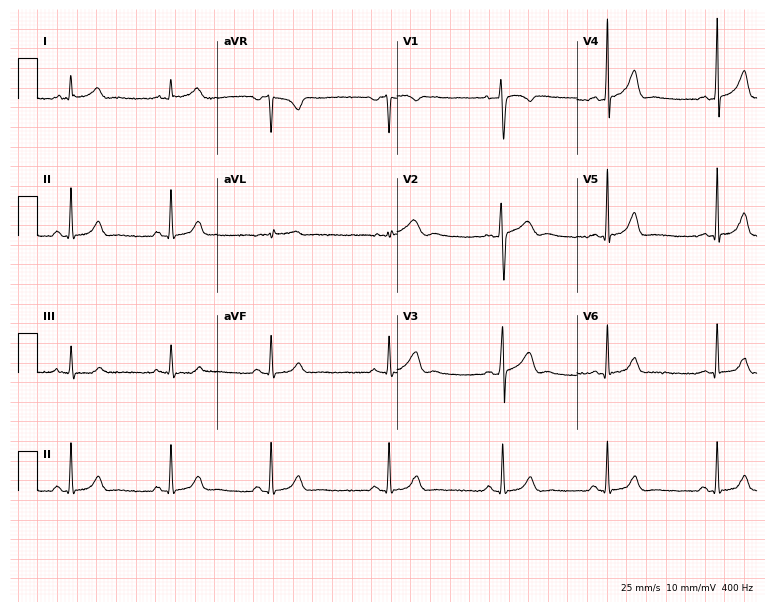
Resting 12-lead electrocardiogram. Patient: a 22-year-old male. Read as a normal ECG.